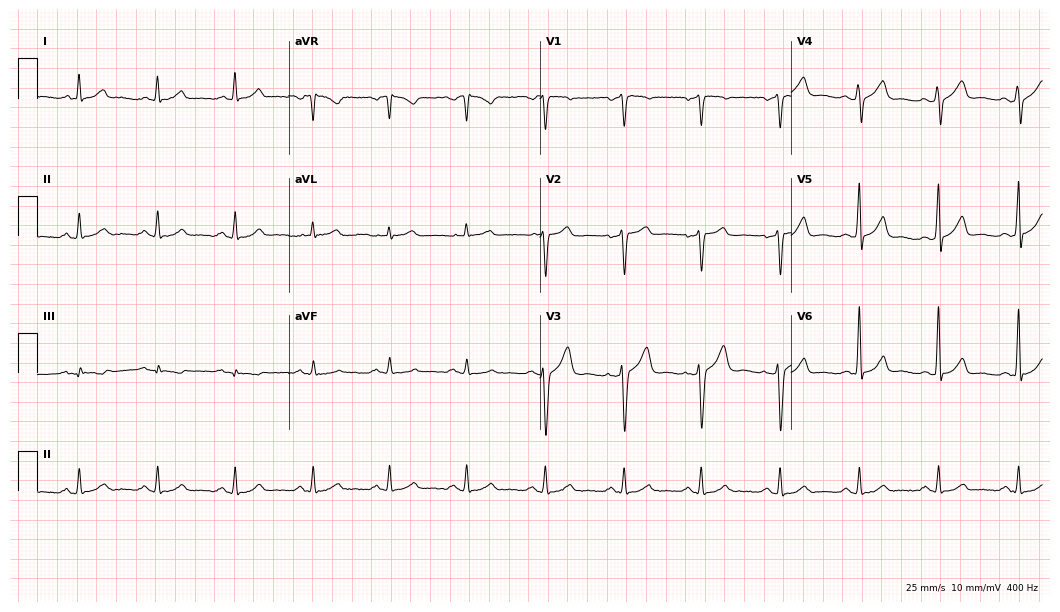
12-lead ECG (10.2-second recording at 400 Hz) from a 51-year-old male patient. Labelled as a normal ECG.